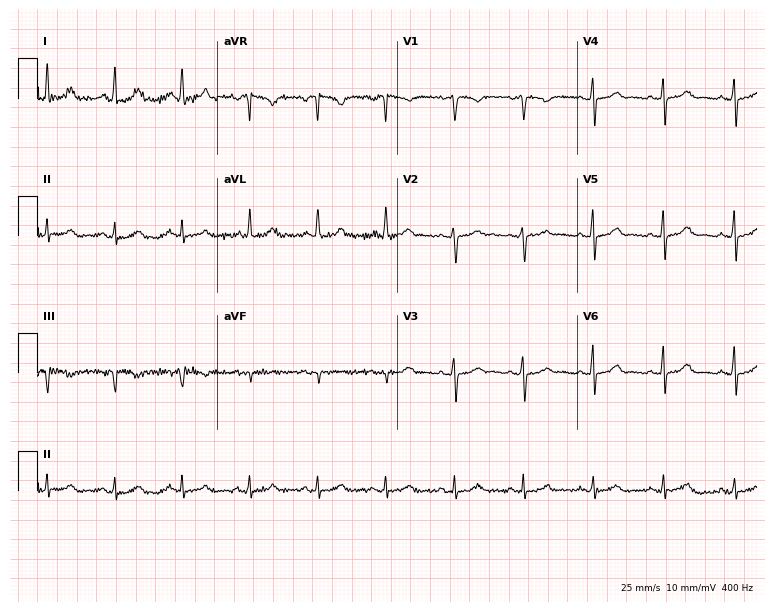
ECG — a female patient, 58 years old. Screened for six findings — first-degree AV block, right bundle branch block, left bundle branch block, sinus bradycardia, atrial fibrillation, sinus tachycardia — none is recorded. Other findings, if any, are not listed.